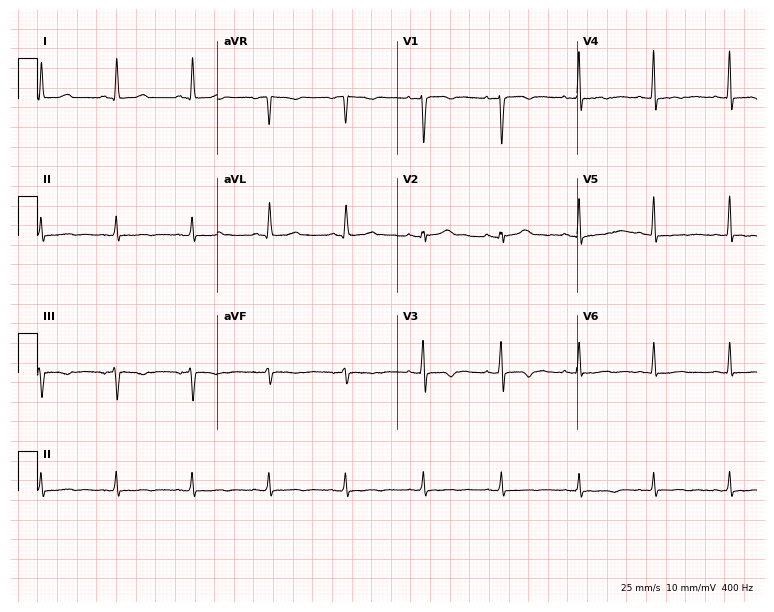
Electrocardiogram, a 36-year-old female. Overall reading on record: normal ECG.